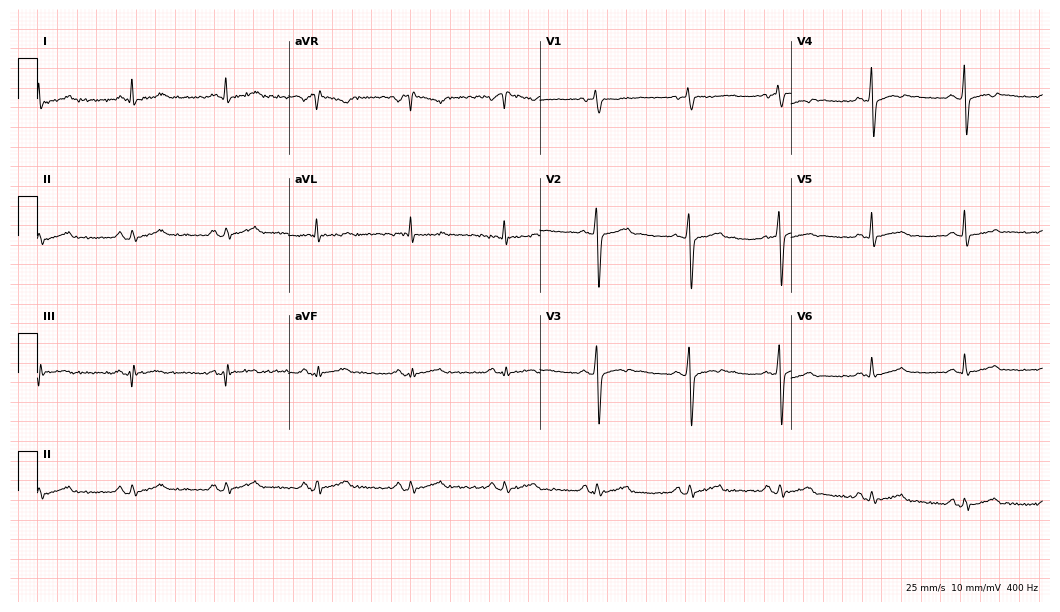
Resting 12-lead electrocardiogram. Patient: a man, 40 years old. None of these six findings is recorded: first-degree AV block, right bundle branch block, left bundle branch block, sinus bradycardia, atrial fibrillation, sinus tachycardia.